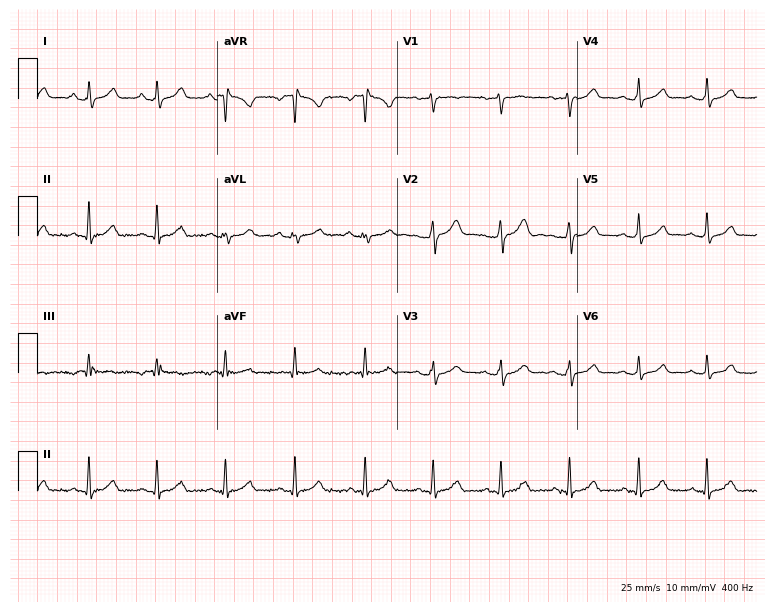
ECG (7.3-second recording at 400 Hz) — a 38-year-old woman. Labelled as a normal ECG.